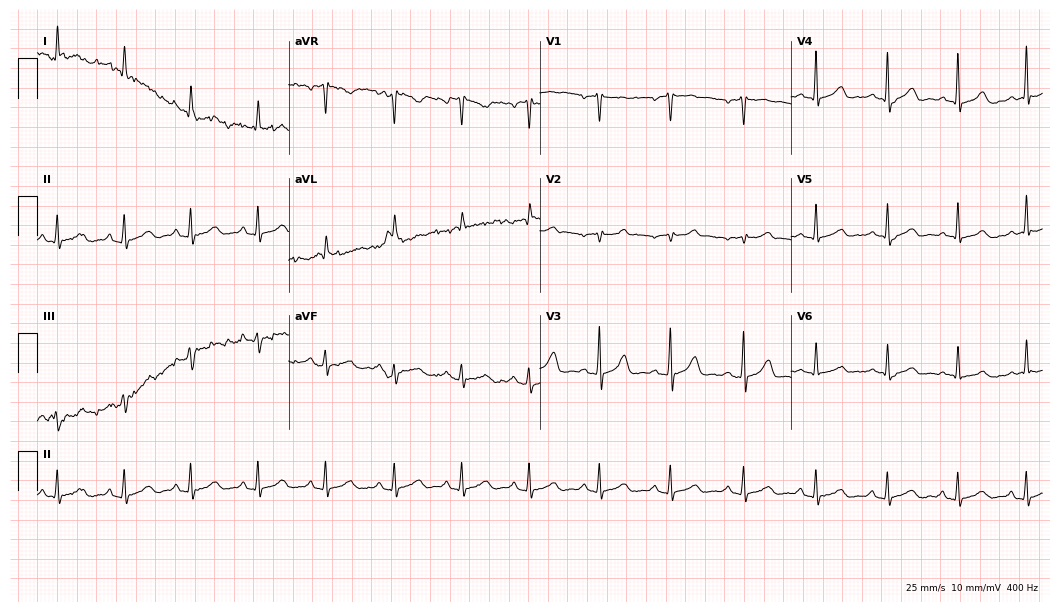
Electrocardiogram, a female patient, 83 years old. Of the six screened findings (first-degree AV block, right bundle branch block (RBBB), left bundle branch block (LBBB), sinus bradycardia, atrial fibrillation (AF), sinus tachycardia), none is recorded. Only these six findings were labelled.